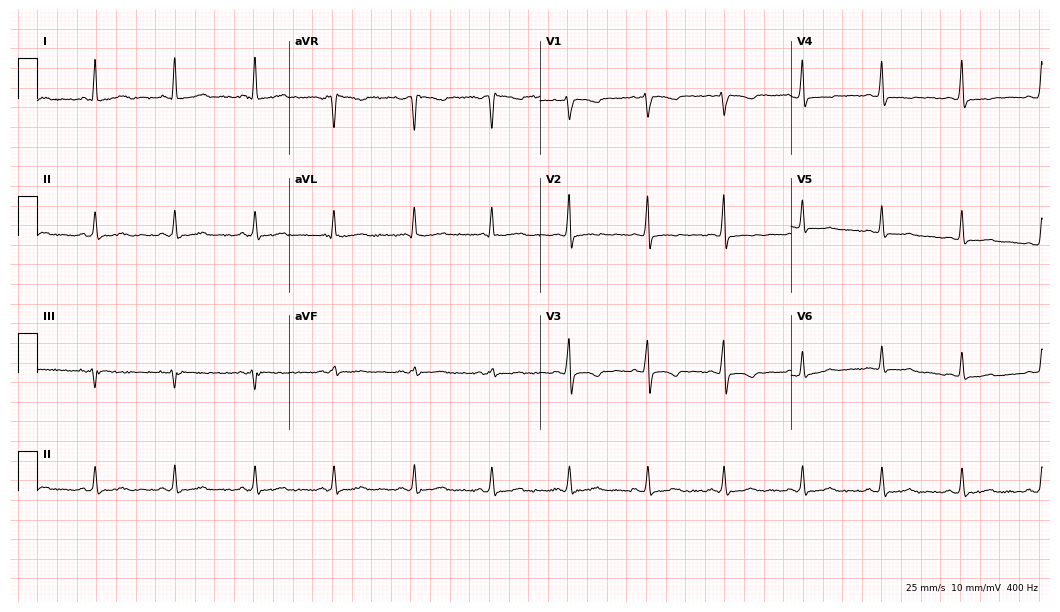
Standard 12-lead ECG recorded from a woman, 40 years old. None of these six findings is recorded: first-degree AV block, right bundle branch block, left bundle branch block, sinus bradycardia, atrial fibrillation, sinus tachycardia.